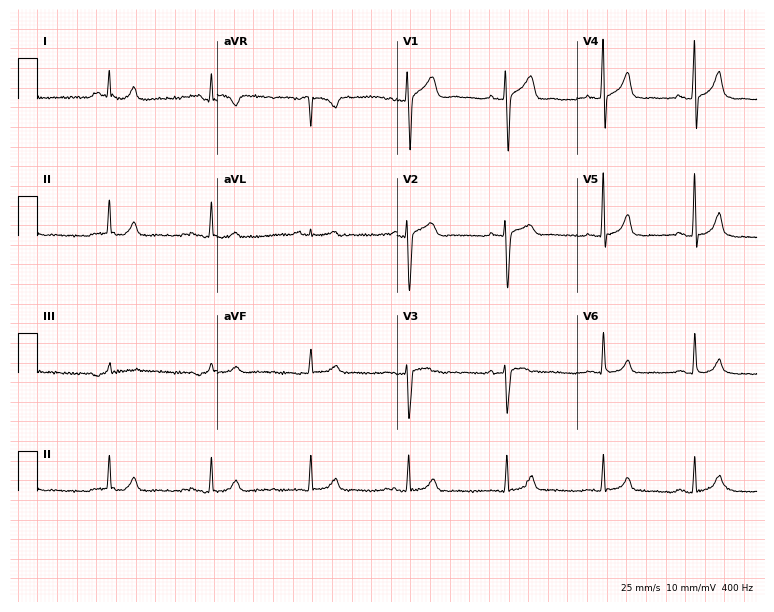
12-lead ECG from a 46-year-old female. Labelled as a normal ECG.